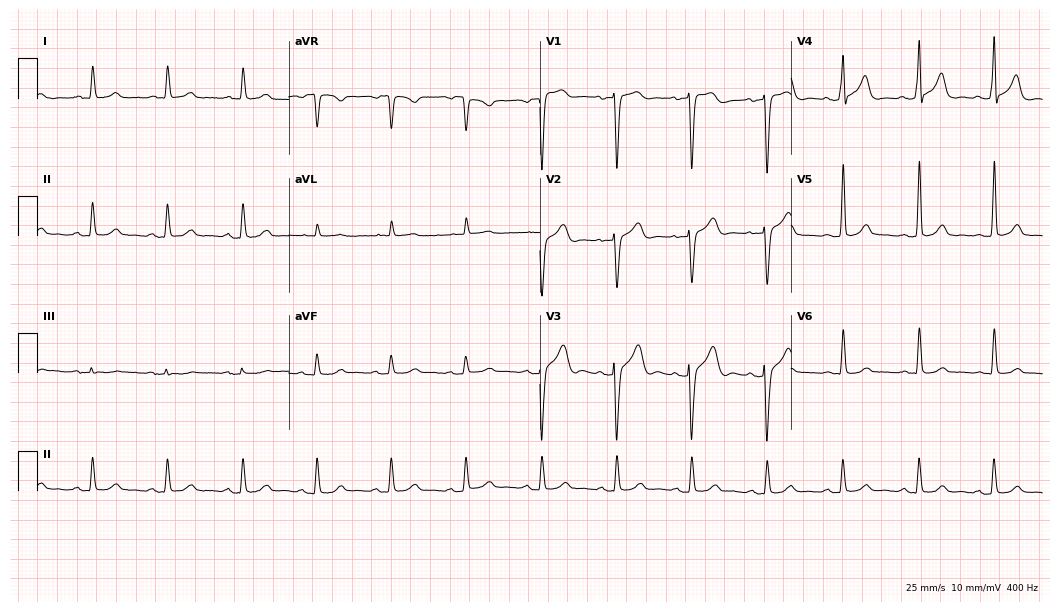
Electrocardiogram, a male, 79 years old. Of the six screened findings (first-degree AV block, right bundle branch block (RBBB), left bundle branch block (LBBB), sinus bradycardia, atrial fibrillation (AF), sinus tachycardia), none is recorded.